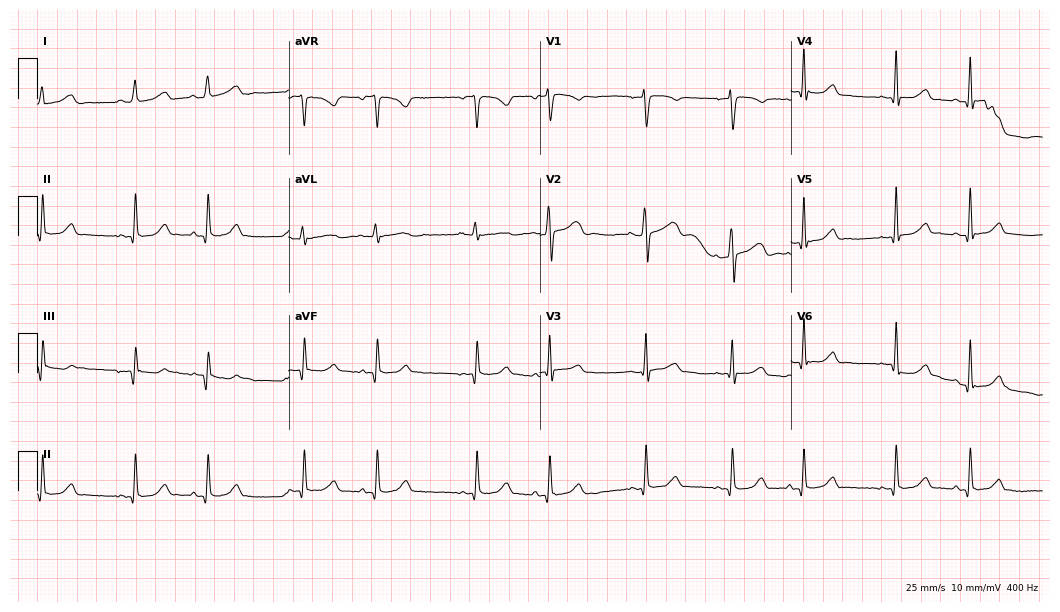
12-lead ECG (10.2-second recording at 400 Hz) from a woman, 22 years old. Screened for six findings — first-degree AV block, right bundle branch block, left bundle branch block, sinus bradycardia, atrial fibrillation, sinus tachycardia — none is recorded.